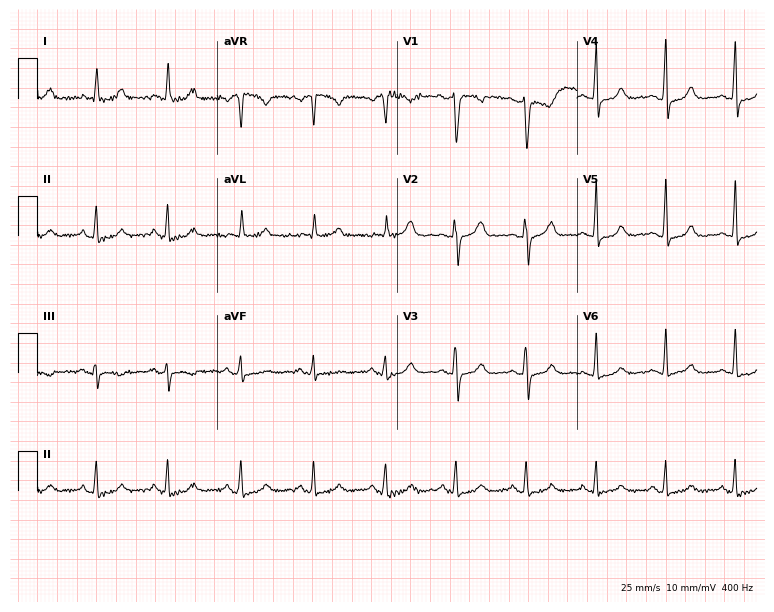
Resting 12-lead electrocardiogram (7.3-second recording at 400 Hz). Patient: a 49-year-old female. Read as a normal ECG.